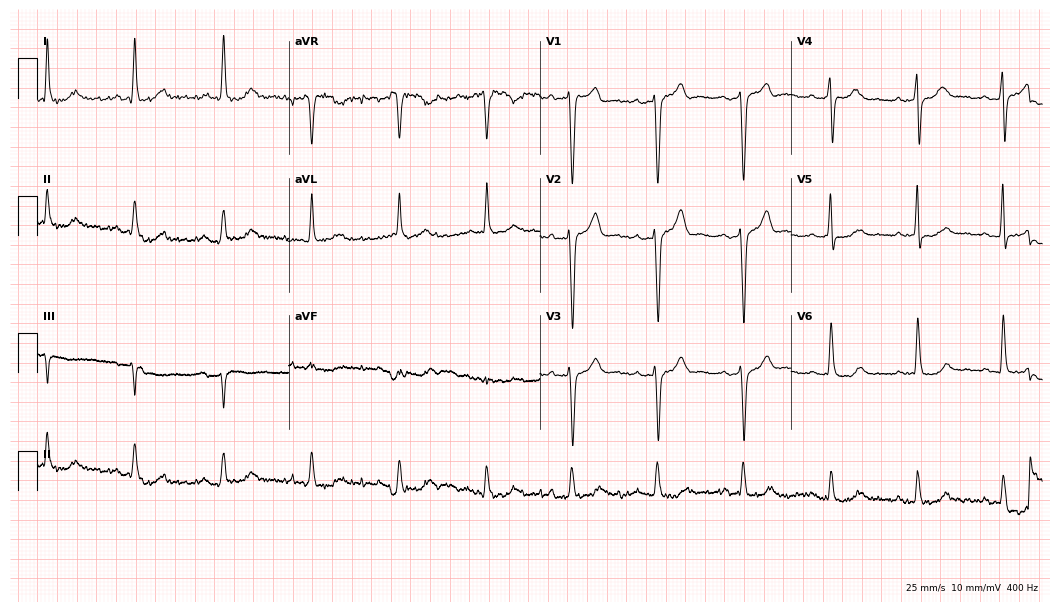
12-lead ECG from a male, 66 years old (10.2-second recording at 400 Hz). Recorded interpretation: within normal limits.